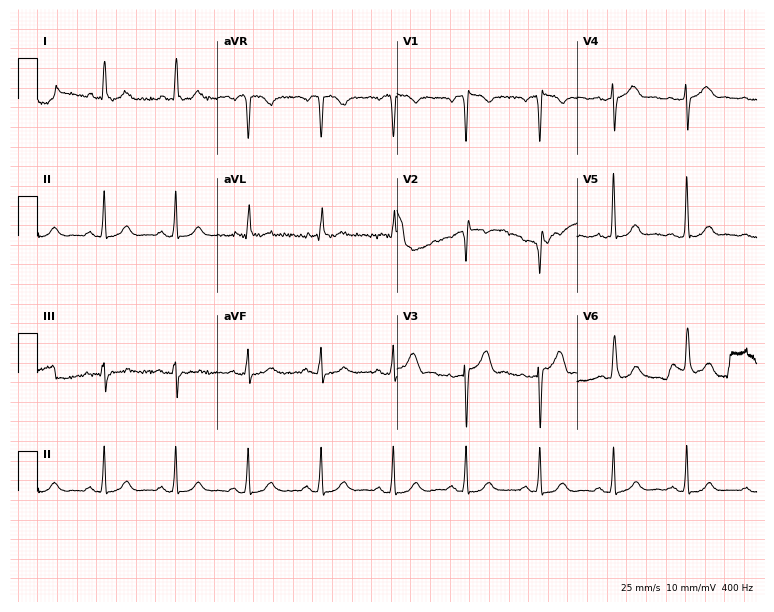
ECG — a male patient, 48 years old. Labelled as a normal ECG.